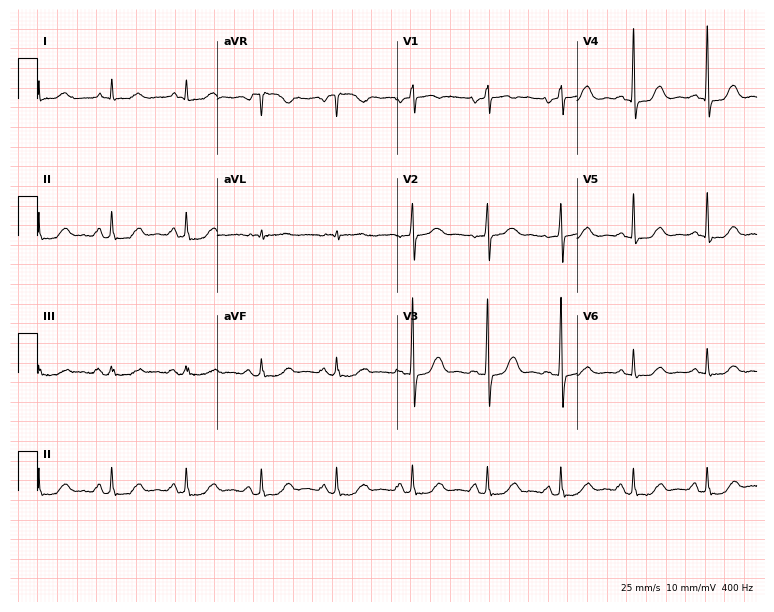
Electrocardiogram, a woman, 75 years old. Overall reading on record: normal ECG.